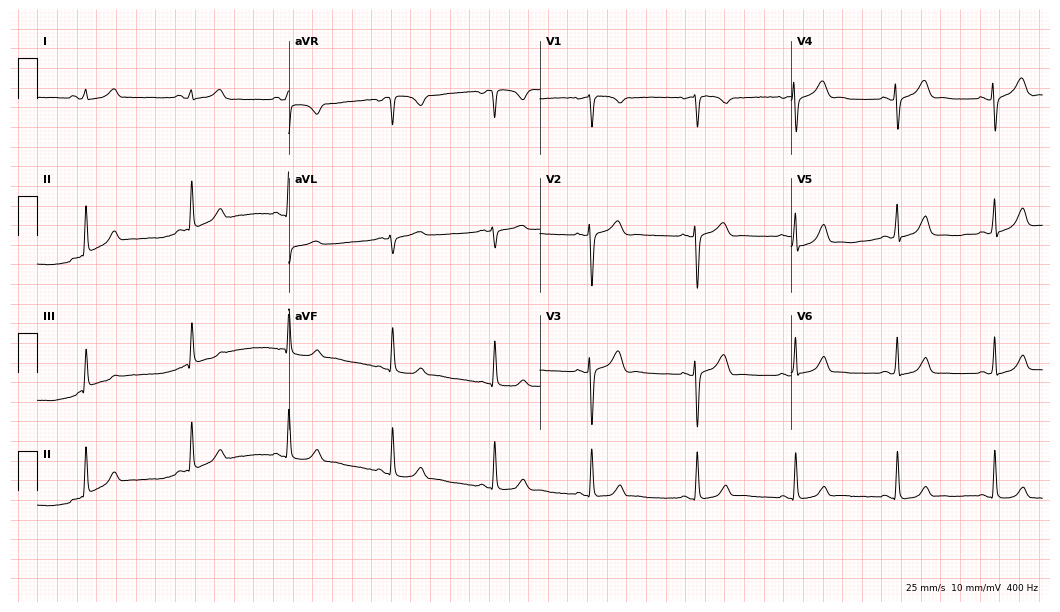
Electrocardiogram (10.2-second recording at 400 Hz), a female, 46 years old. Of the six screened findings (first-degree AV block, right bundle branch block (RBBB), left bundle branch block (LBBB), sinus bradycardia, atrial fibrillation (AF), sinus tachycardia), none is recorded.